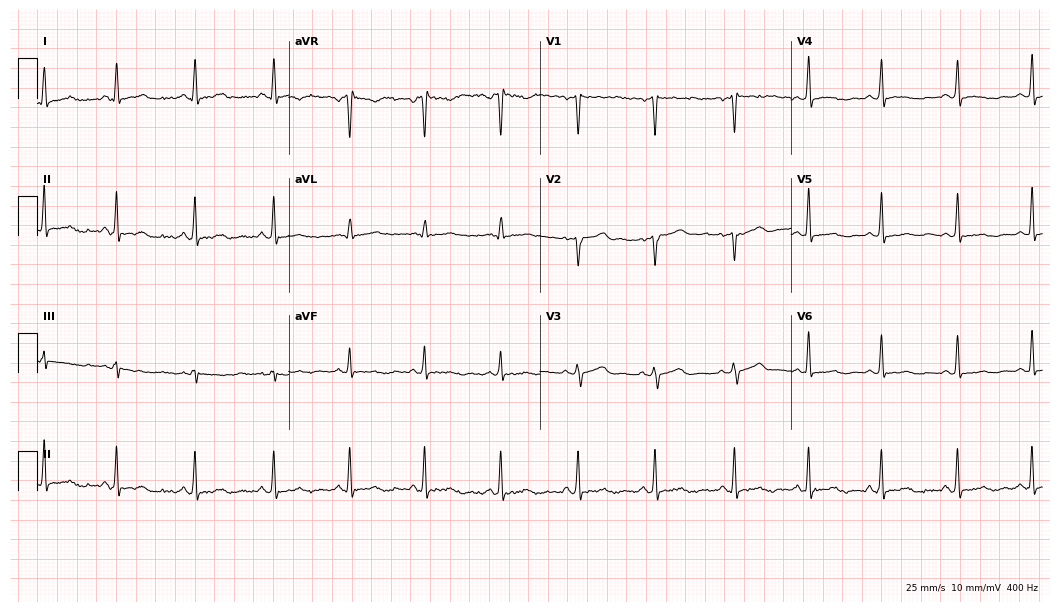
12-lead ECG (10.2-second recording at 400 Hz) from a woman, 40 years old. Screened for six findings — first-degree AV block, right bundle branch block, left bundle branch block, sinus bradycardia, atrial fibrillation, sinus tachycardia — none is recorded.